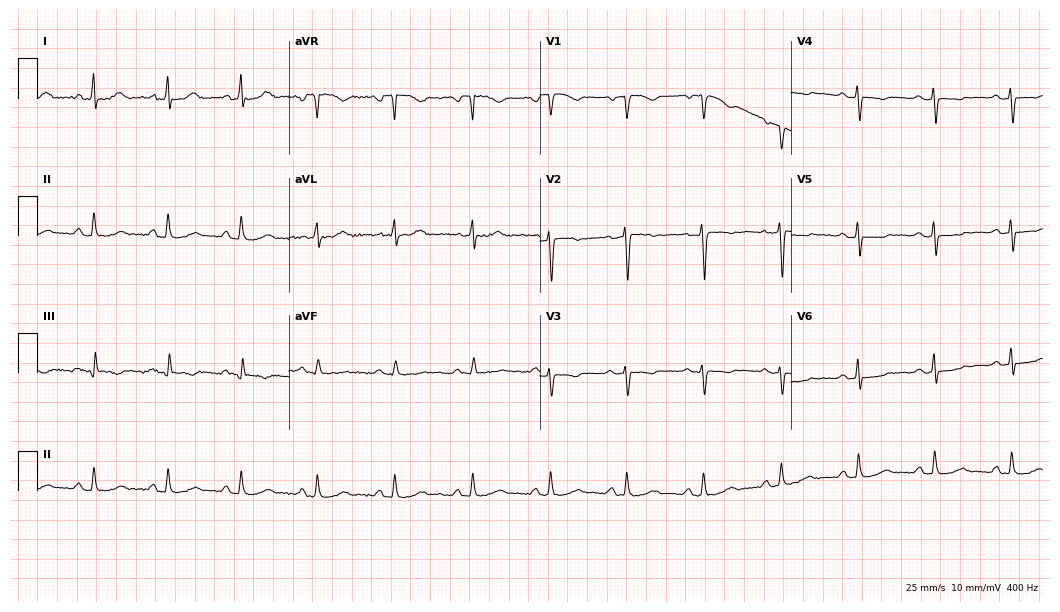
Standard 12-lead ECG recorded from a female, 49 years old. None of these six findings is recorded: first-degree AV block, right bundle branch block (RBBB), left bundle branch block (LBBB), sinus bradycardia, atrial fibrillation (AF), sinus tachycardia.